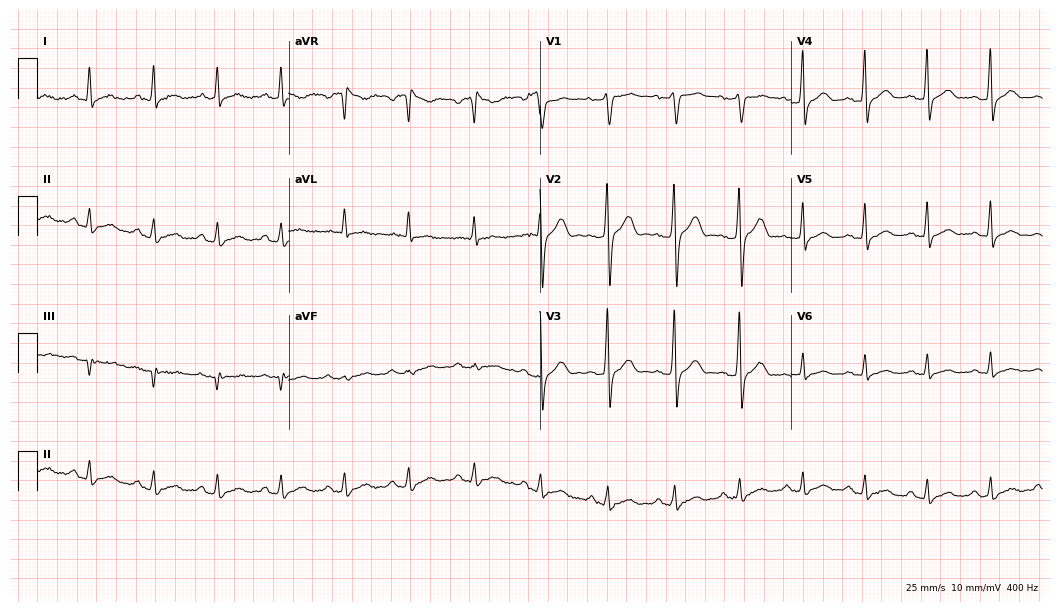
Resting 12-lead electrocardiogram. Patient: a man, 48 years old. None of these six findings is recorded: first-degree AV block, right bundle branch block, left bundle branch block, sinus bradycardia, atrial fibrillation, sinus tachycardia.